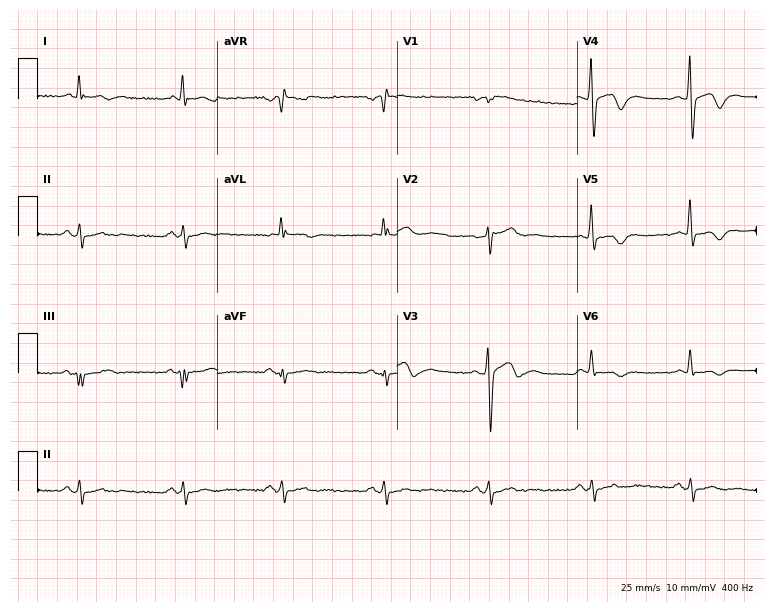
Resting 12-lead electrocardiogram (7.3-second recording at 400 Hz). Patient: a male, 61 years old. None of these six findings is recorded: first-degree AV block, right bundle branch block, left bundle branch block, sinus bradycardia, atrial fibrillation, sinus tachycardia. Only these six findings were labelled.